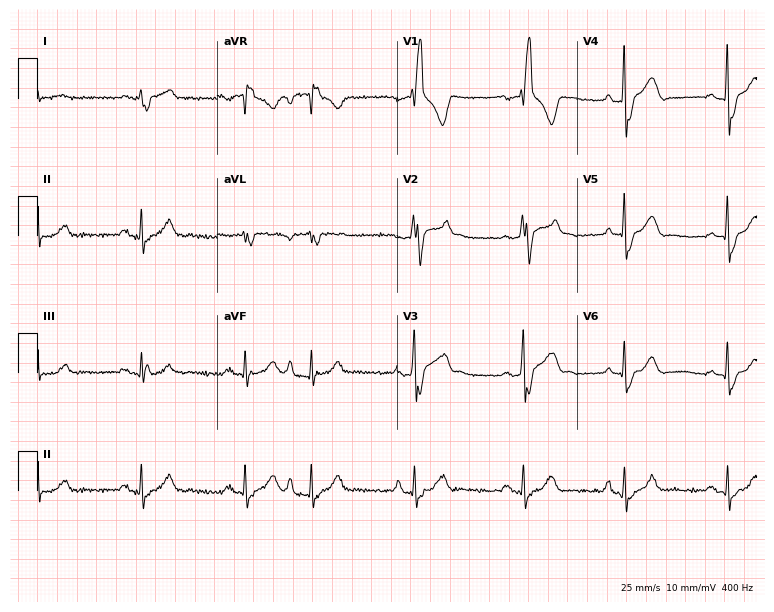
Resting 12-lead electrocardiogram. Patient: a 61-year-old male. The tracing shows right bundle branch block.